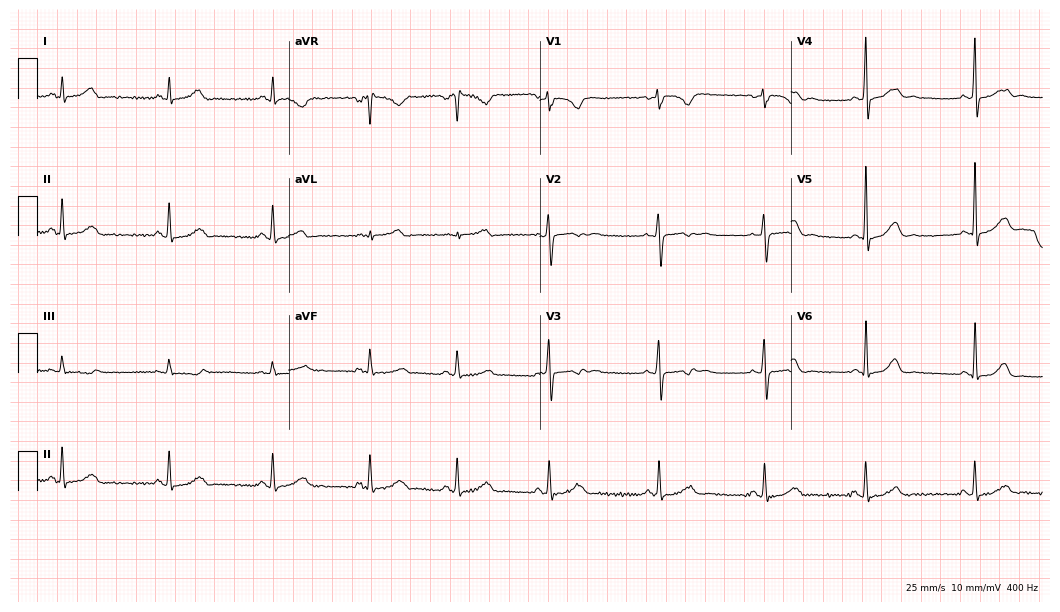
Electrocardiogram (10.2-second recording at 400 Hz), a female patient, 37 years old. Overall reading on record: normal ECG.